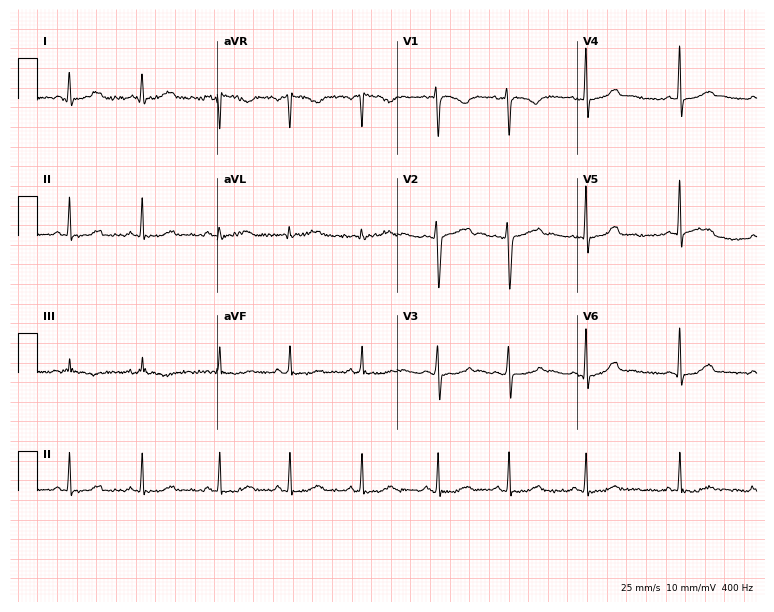
12-lead ECG from a 22-year-old female patient. Labelled as a normal ECG.